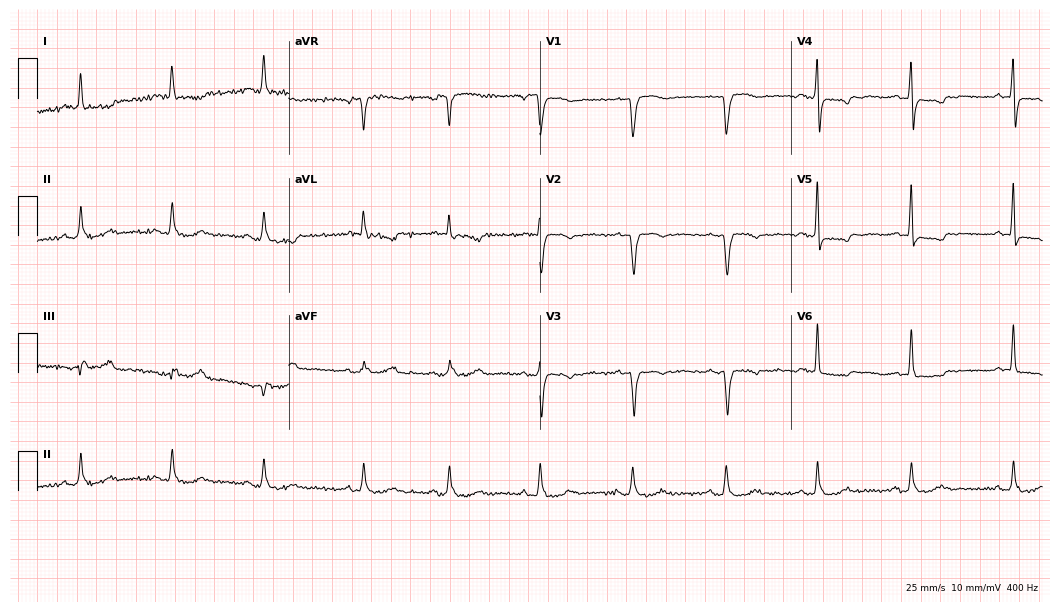
Resting 12-lead electrocardiogram (10.2-second recording at 400 Hz). Patient: a 63-year-old female. None of these six findings is recorded: first-degree AV block, right bundle branch block, left bundle branch block, sinus bradycardia, atrial fibrillation, sinus tachycardia. Findings outside these six are not listed.